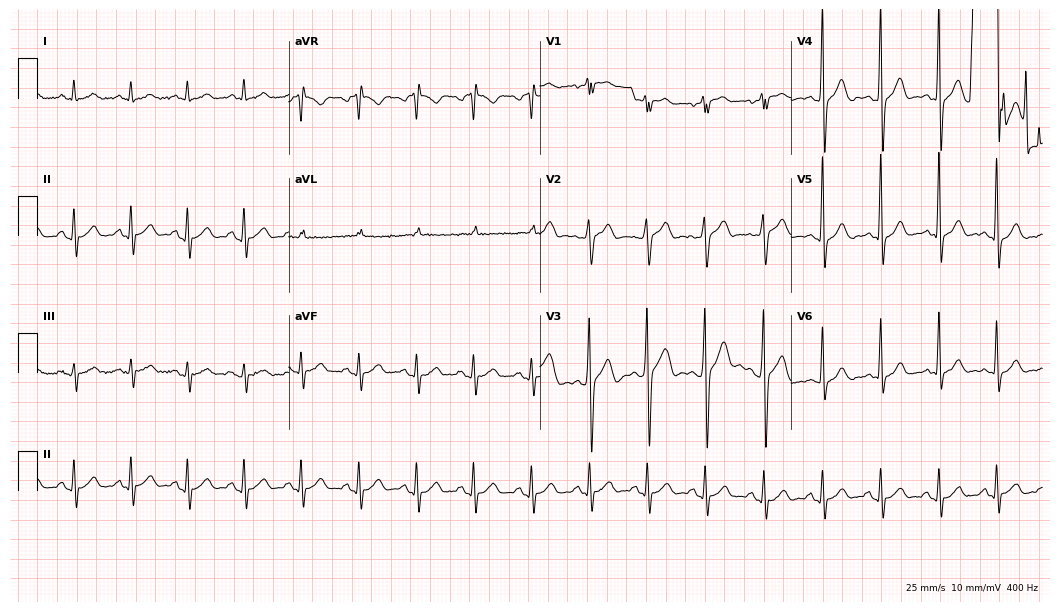
12-lead ECG (10.2-second recording at 400 Hz) from a 63-year-old male patient. Findings include sinus tachycardia (a sinus rate of 100 beats per minute or more).